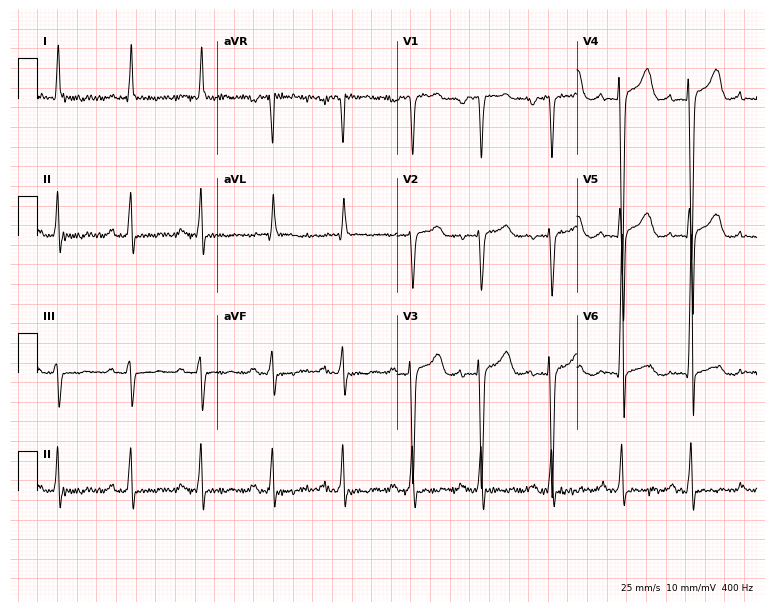
12-lead ECG from a male patient, 72 years old (7.3-second recording at 400 Hz). Shows first-degree AV block.